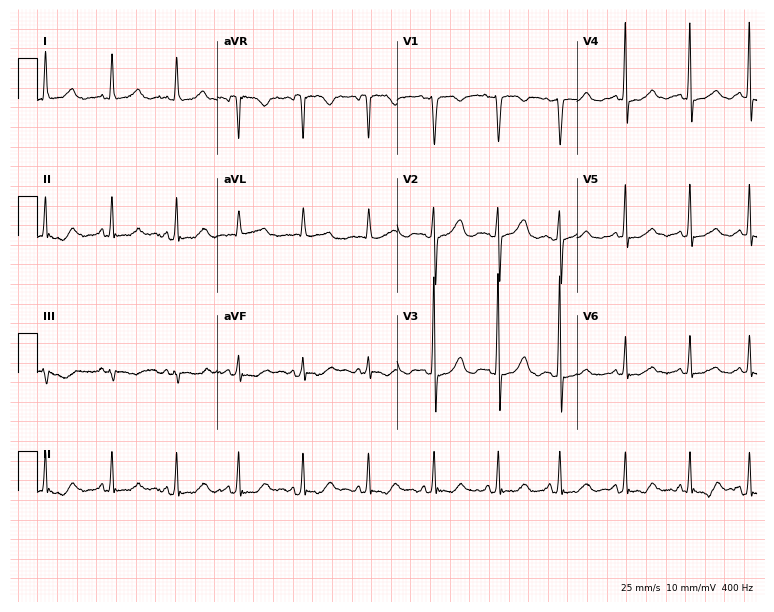
Resting 12-lead electrocardiogram (7.3-second recording at 400 Hz). Patient: a 50-year-old female. Read as a normal ECG.